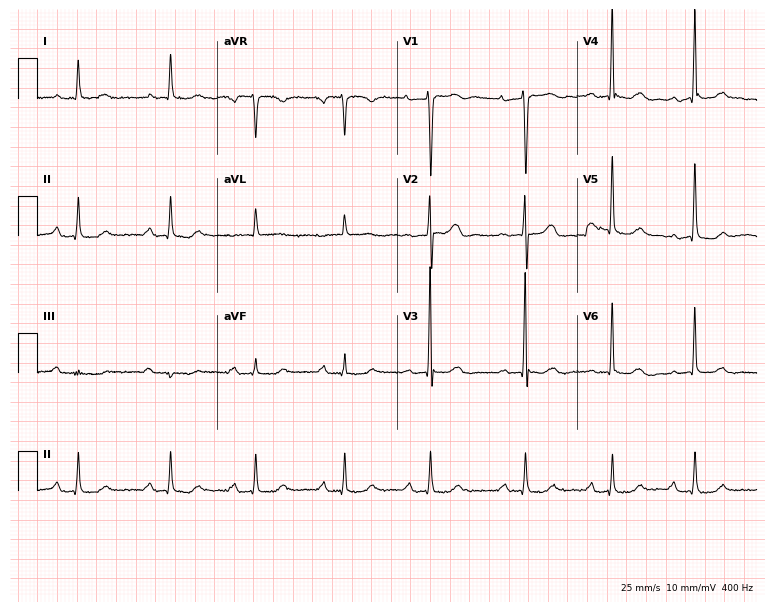
Standard 12-lead ECG recorded from a man, 77 years old (7.3-second recording at 400 Hz). The tracing shows first-degree AV block.